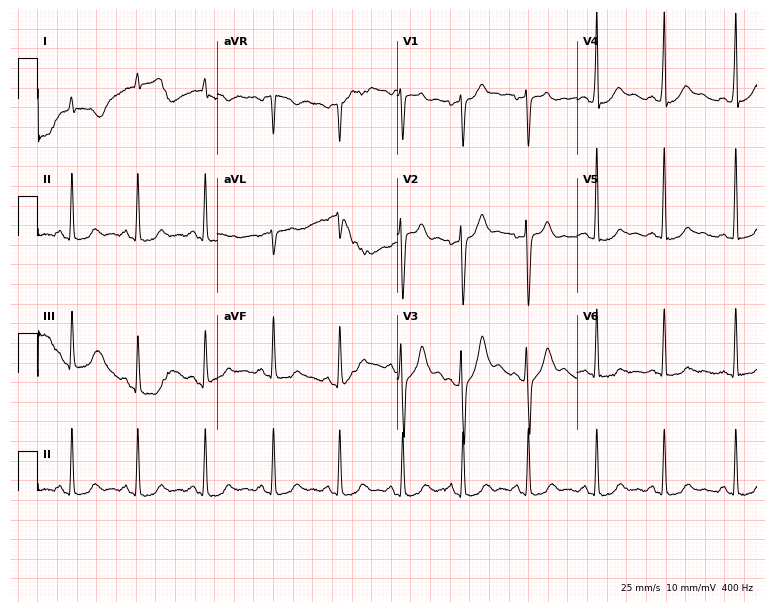
12-lead ECG from a man, 33 years old. No first-degree AV block, right bundle branch block (RBBB), left bundle branch block (LBBB), sinus bradycardia, atrial fibrillation (AF) or sinus tachycardia recorded for this tracing. Findings outside these six are not listed.